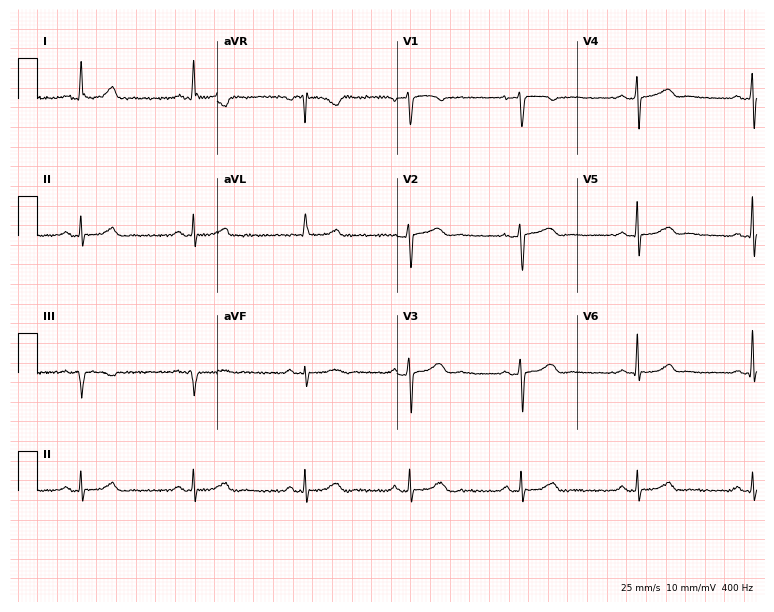
12-lead ECG (7.3-second recording at 400 Hz) from a 50-year-old woman. Labelled as a normal ECG.